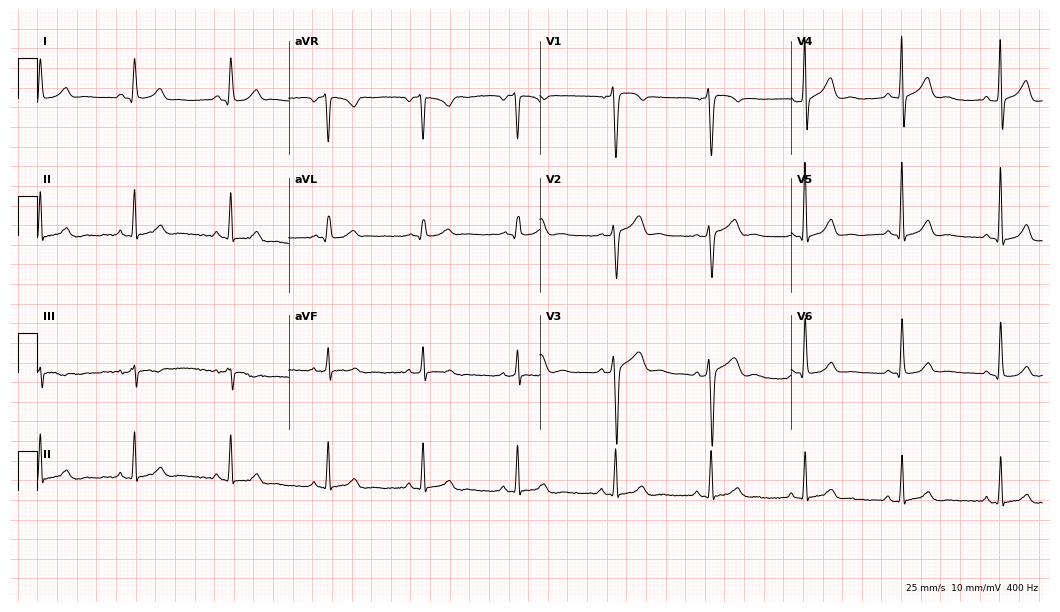
ECG (10.2-second recording at 400 Hz) — a 54-year-old female patient. Labelled as a normal ECG.